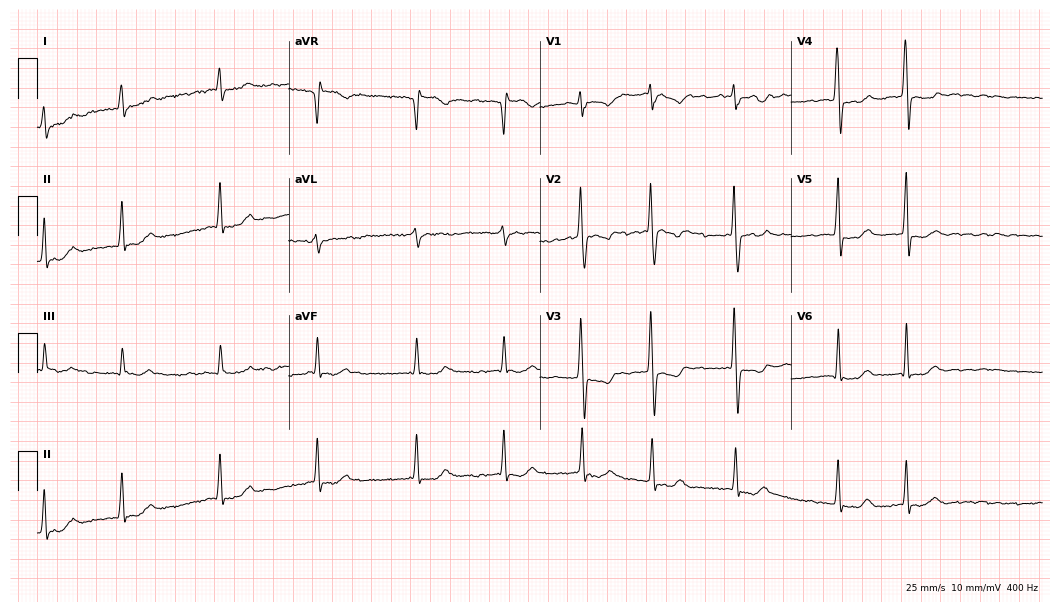
ECG (10.2-second recording at 400 Hz) — a female patient, 47 years old. Screened for six findings — first-degree AV block, right bundle branch block (RBBB), left bundle branch block (LBBB), sinus bradycardia, atrial fibrillation (AF), sinus tachycardia — none is recorded. Findings outside these six are not listed.